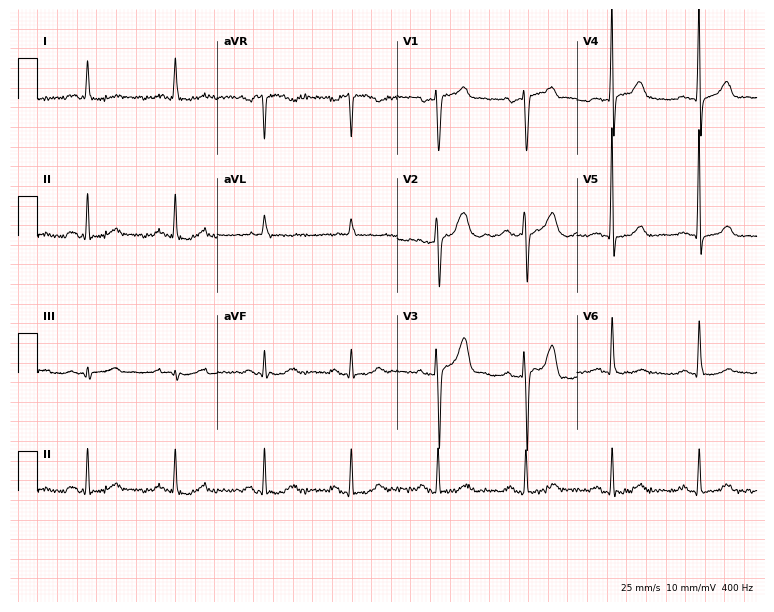
Resting 12-lead electrocardiogram (7.3-second recording at 400 Hz). Patient: a 73-year-old man. None of these six findings is recorded: first-degree AV block, right bundle branch block, left bundle branch block, sinus bradycardia, atrial fibrillation, sinus tachycardia.